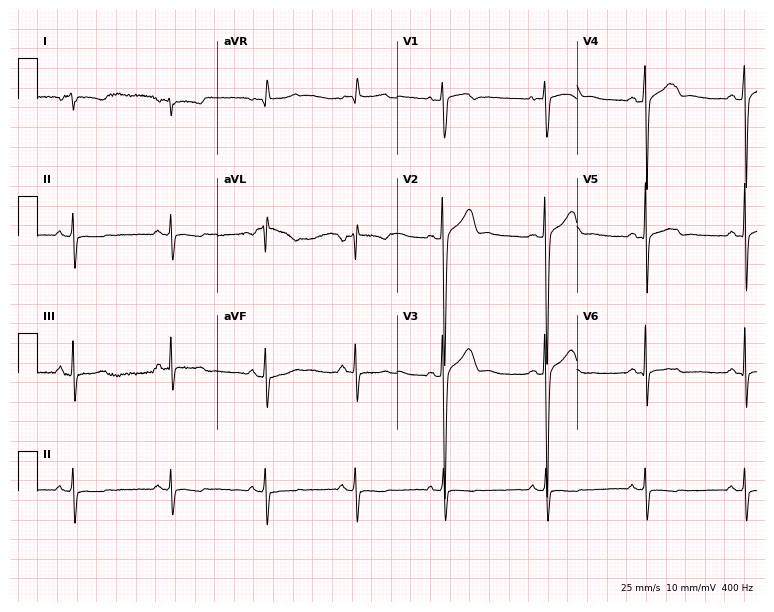
12-lead ECG from a male, 25 years old. No first-degree AV block, right bundle branch block, left bundle branch block, sinus bradycardia, atrial fibrillation or sinus tachycardia recorded for this tracing.